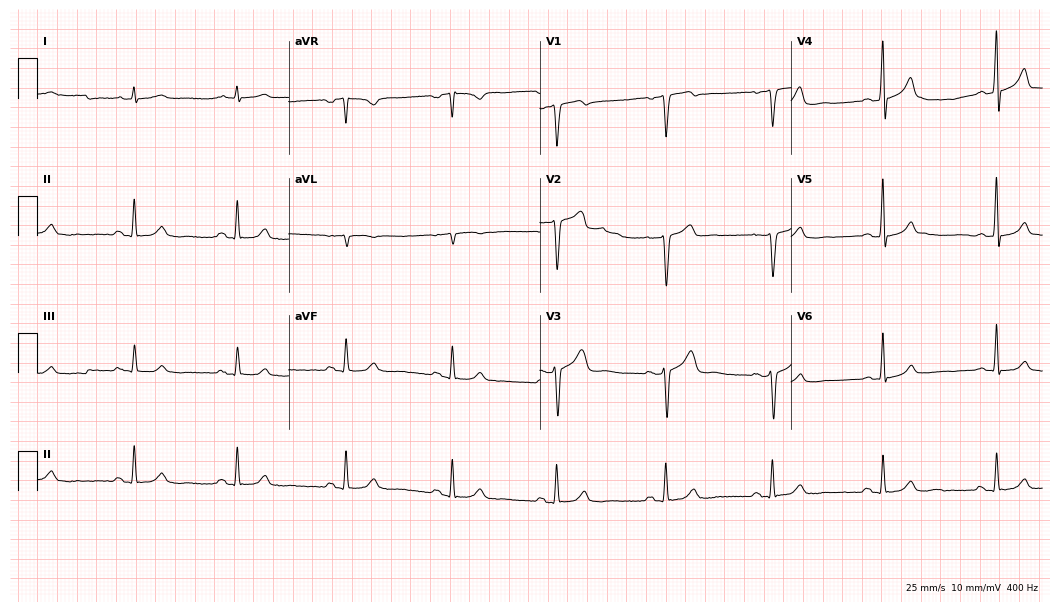
Resting 12-lead electrocardiogram. Patient: a man, 44 years old. None of these six findings is recorded: first-degree AV block, right bundle branch block, left bundle branch block, sinus bradycardia, atrial fibrillation, sinus tachycardia. Only these six findings were labelled.